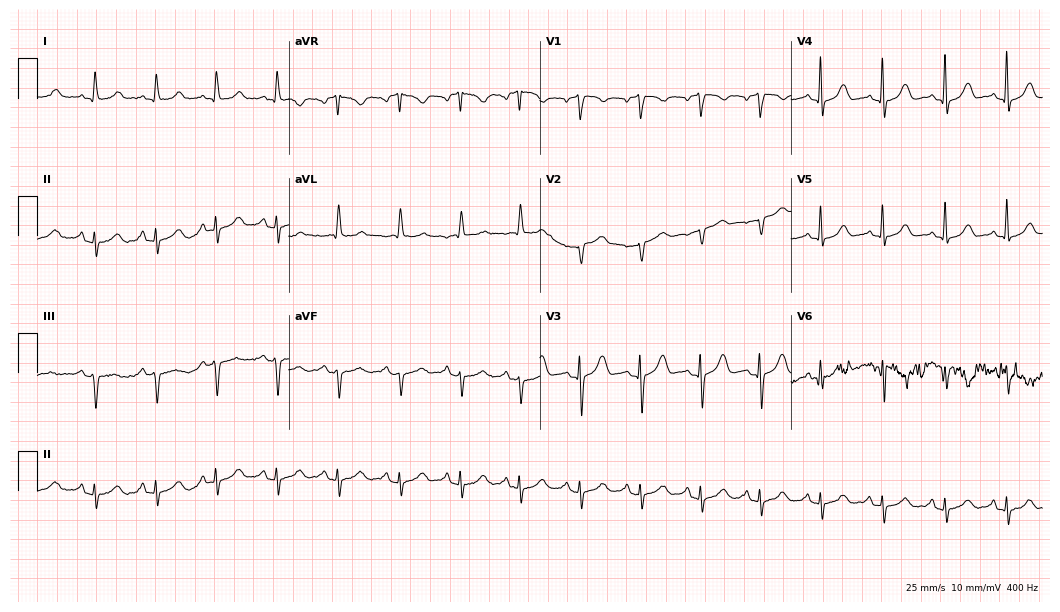
Standard 12-lead ECG recorded from a woman, 69 years old. None of these six findings is recorded: first-degree AV block, right bundle branch block, left bundle branch block, sinus bradycardia, atrial fibrillation, sinus tachycardia.